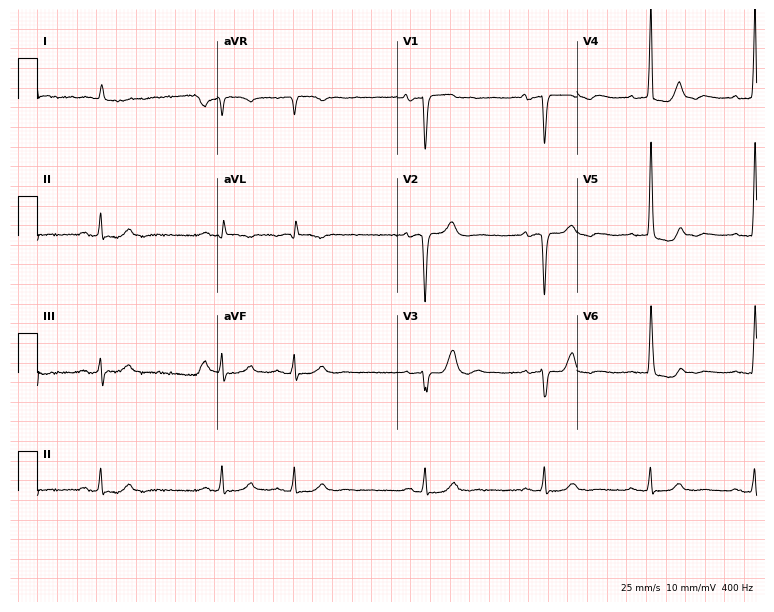
Resting 12-lead electrocardiogram. Patient: an 84-year-old female. None of these six findings is recorded: first-degree AV block, right bundle branch block, left bundle branch block, sinus bradycardia, atrial fibrillation, sinus tachycardia. Other findings, if any, are not listed.